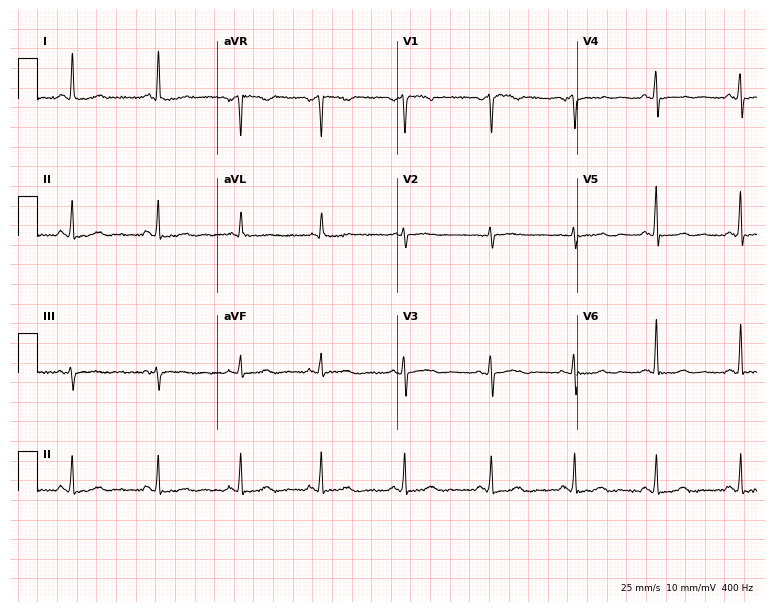
Resting 12-lead electrocardiogram (7.3-second recording at 400 Hz). Patient: a female, 54 years old. Read as a normal ECG.